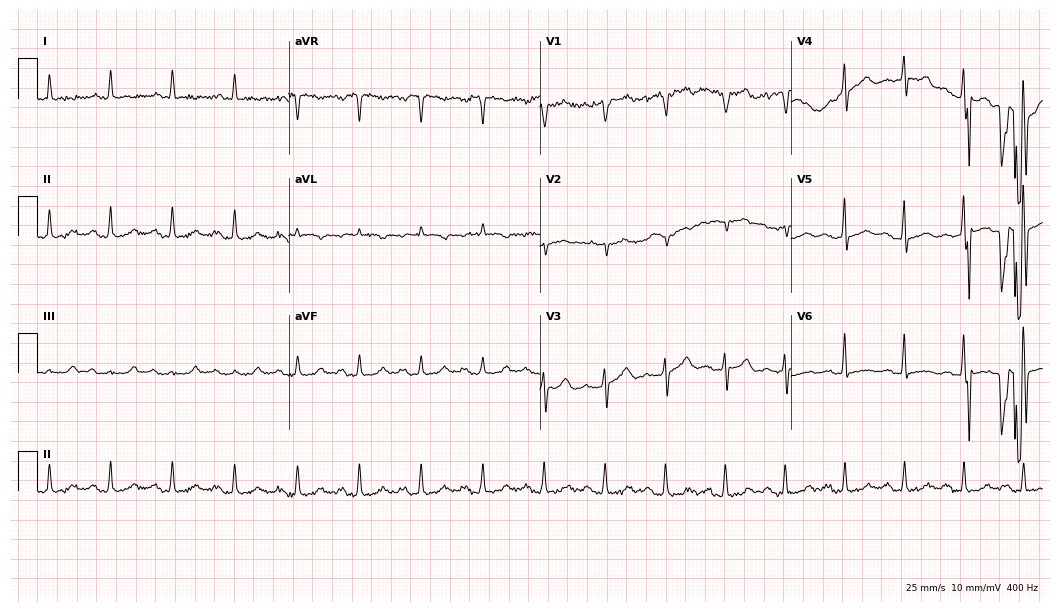
Electrocardiogram, a male, 62 years old. Overall reading on record: normal ECG.